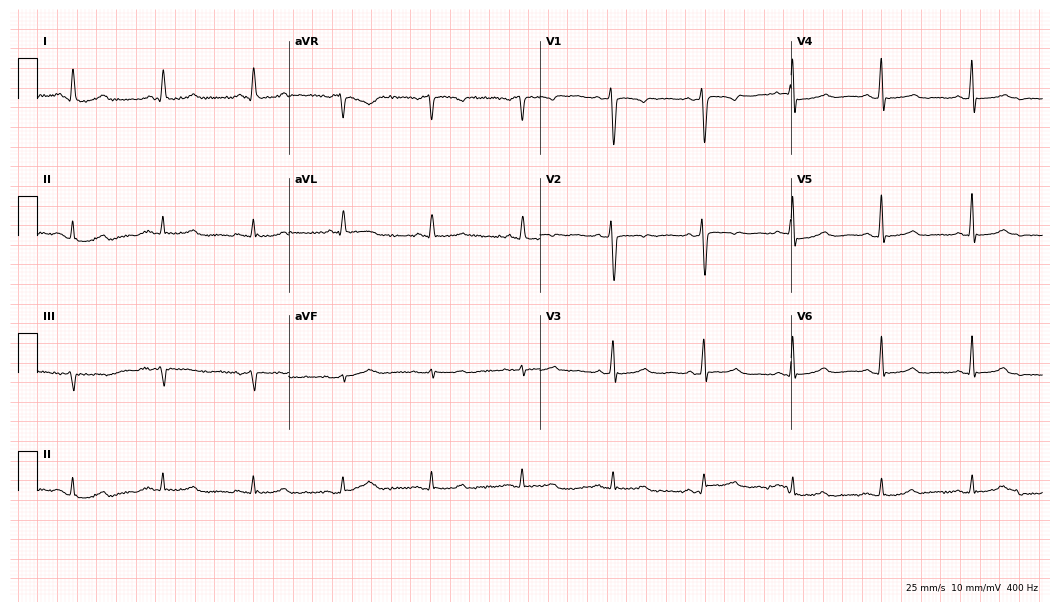
Electrocardiogram (10.2-second recording at 400 Hz), a female, 53 years old. Overall reading on record: normal ECG.